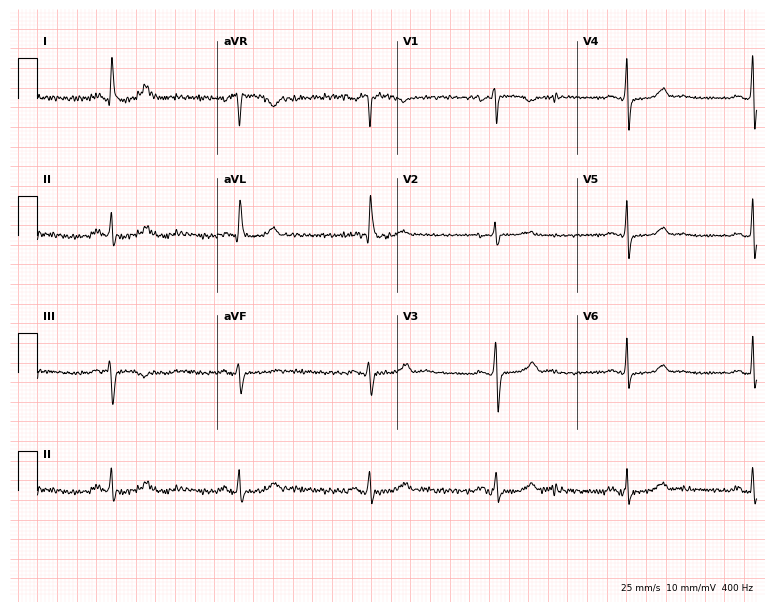
12-lead ECG from a woman, 55 years old. Findings include sinus bradycardia (a sinus rate of 50 beats per minute or less).